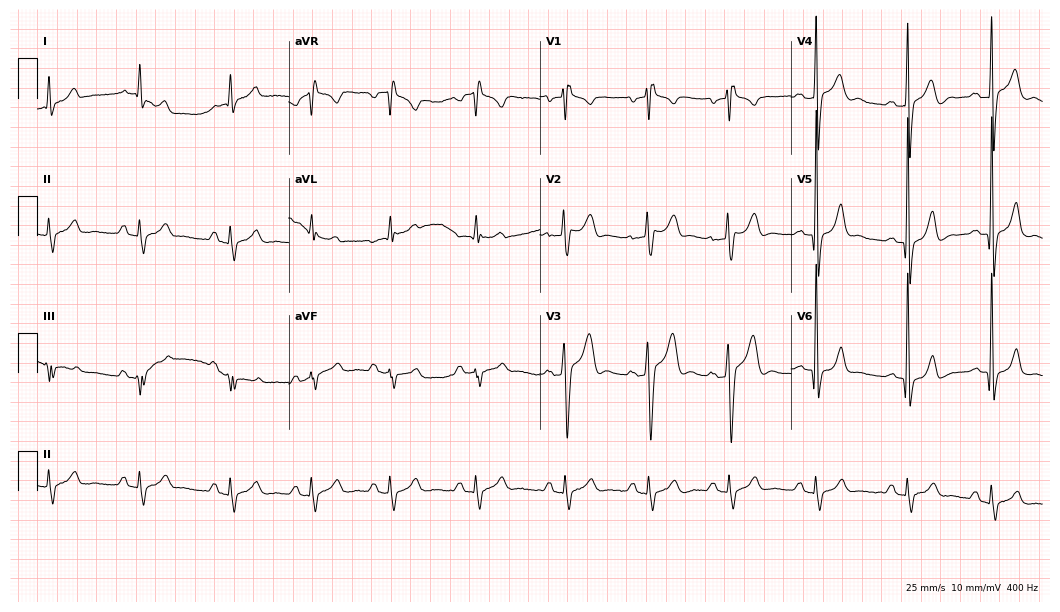
12-lead ECG from a 26-year-old woman (10.2-second recording at 400 Hz). Shows right bundle branch block.